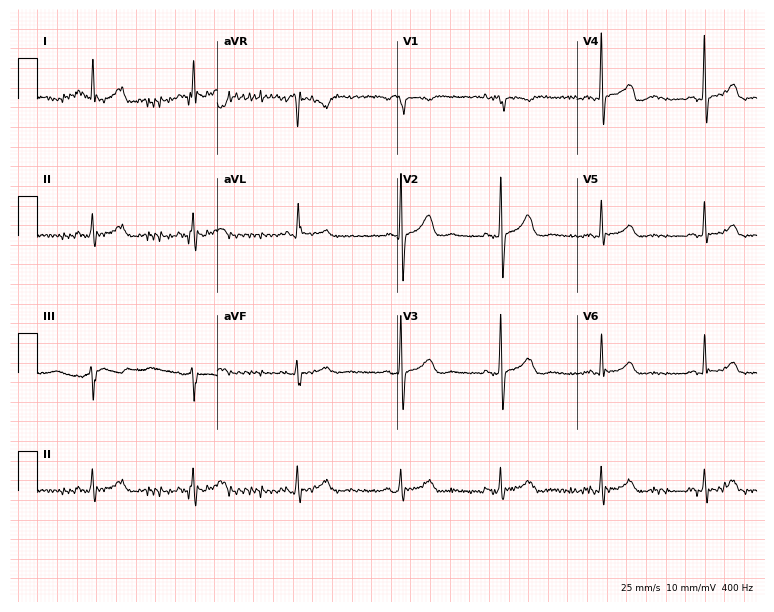
ECG (7.3-second recording at 400 Hz) — a 67-year-old female. Screened for six findings — first-degree AV block, right bundle branch block, left bundle branch block, sinus bradycardia, atrial fibrillation, sinus tachycardia — none is recorded. Only these six findings were labelled.